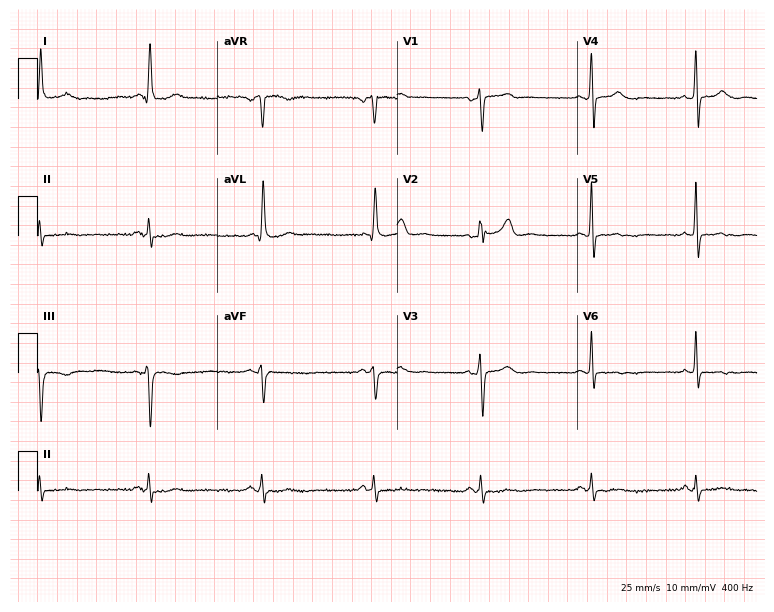
12-lead ECG from a 62-year-old woman (7.3-second recording at 400 Hz). Recorded interpretation: within normal limits.